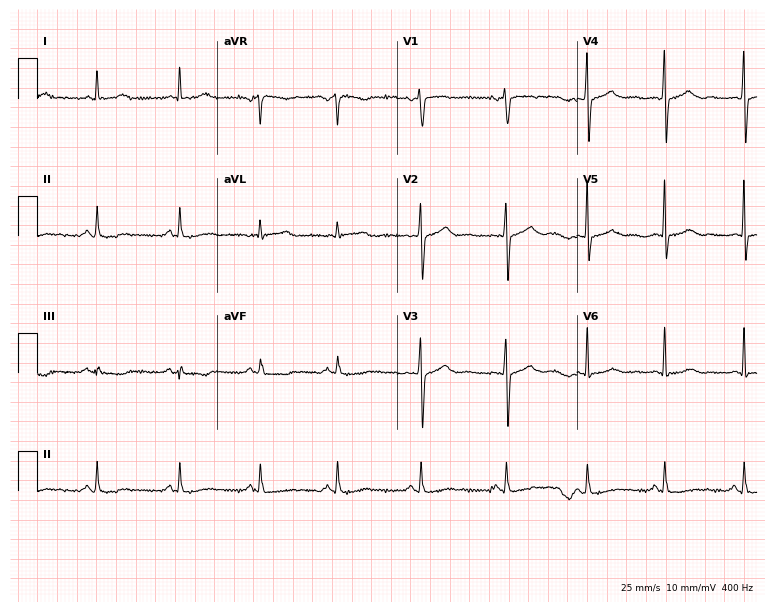
12-lead ECG from a female patient, 35 years old. Labelled as a normal ECG.